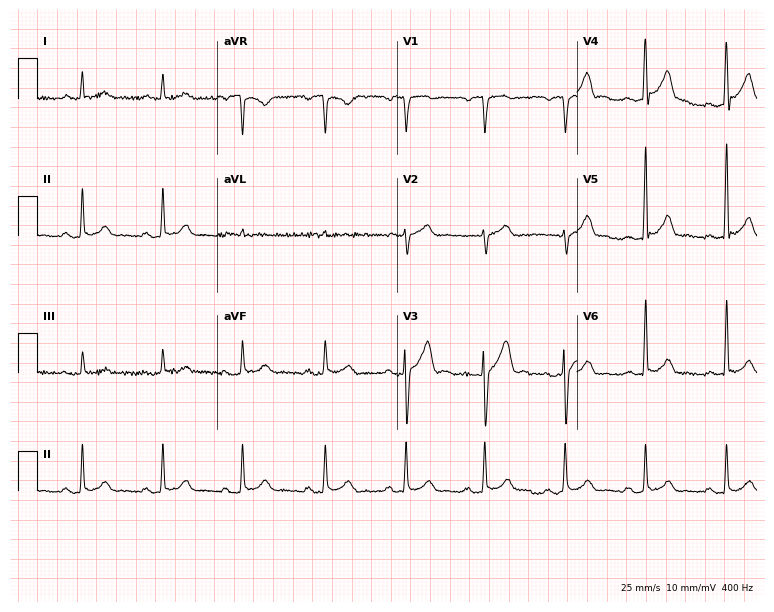
Resting 12-lead electrocardiogram. Patient: a 62-year-old man. Read as a normal ECG.